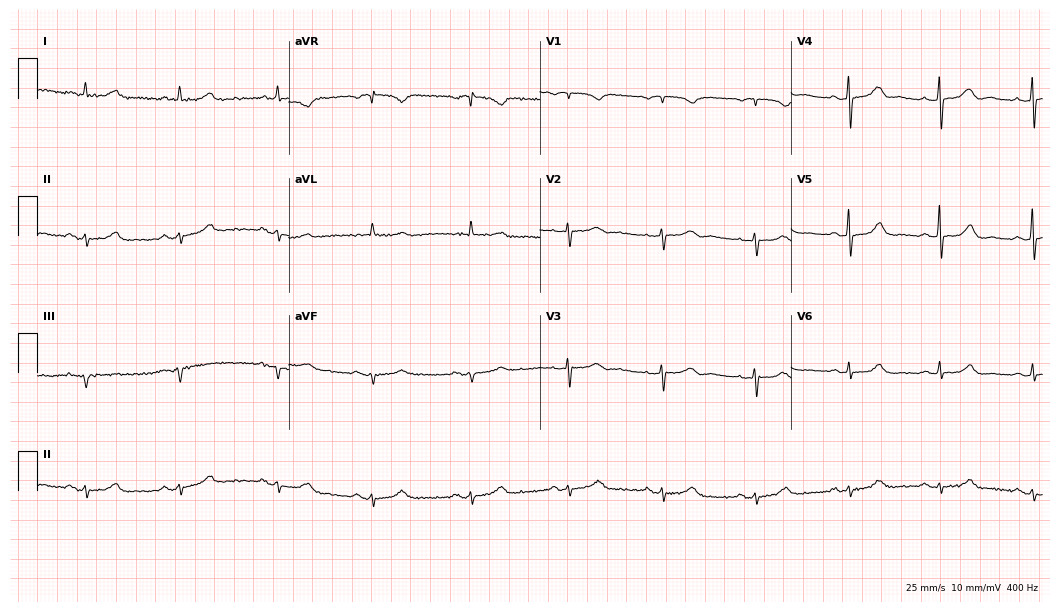
12-lead ECG from a female patient, 79 years old (10.2-second recording at 400 Hz). No first-degree AV block, right bundle branch block, left bundle branch block, sinus bradycardia, atrial fibrillation or sinus tachycardia recorded for this tracing. Only these six findings were labelled.